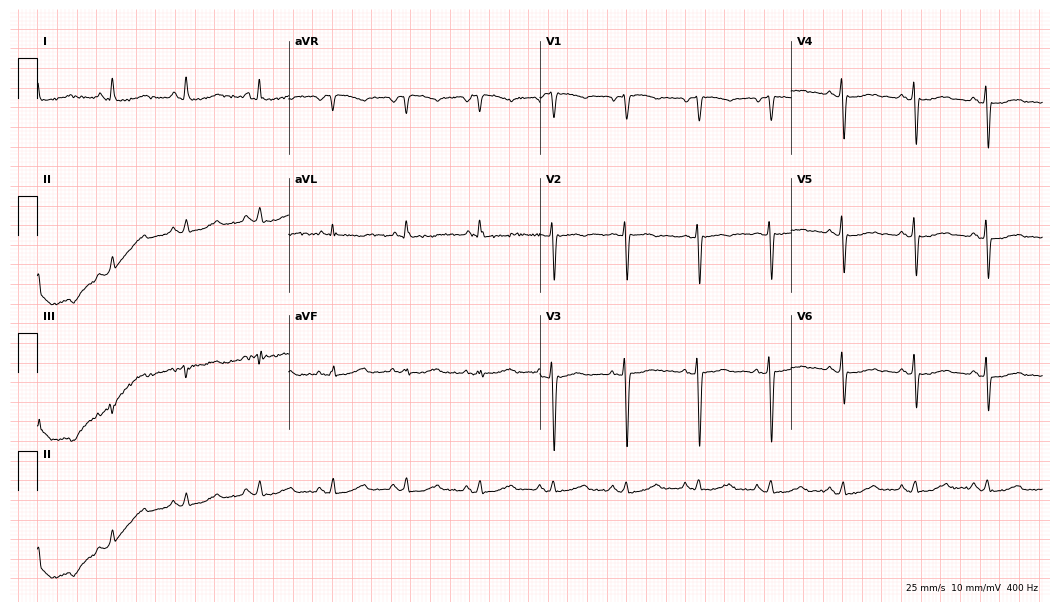
Electrocardiogram (10.2-second recording at 400 Hz), a 52-year-old woman. Of the six screened findings (first-degree AV block, right bundle branch block (RBBB), left bundle branch block (LBBB), sinus bradycardia, atrial fibrillation (AF), sinus tachycardia), none is recorded. Findings outside these six are not listed.